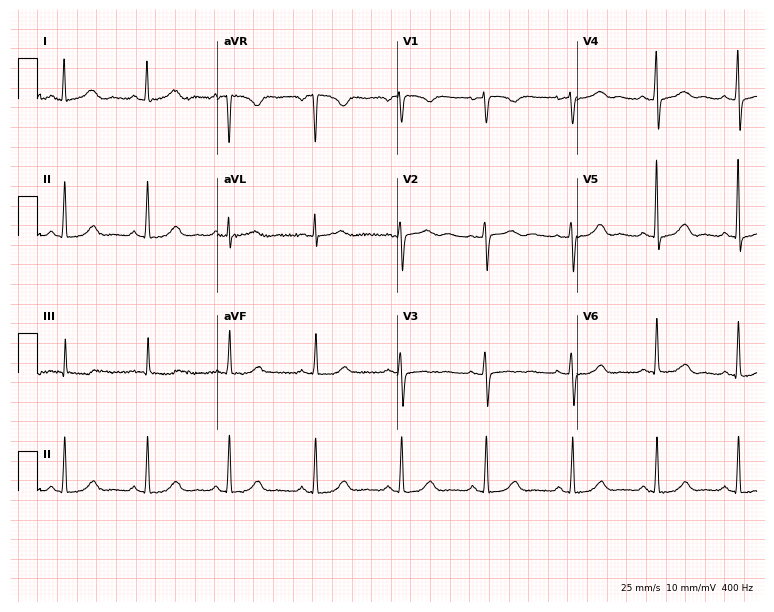
ECG — a female, 56 years old. Labelled as a normal ECG.